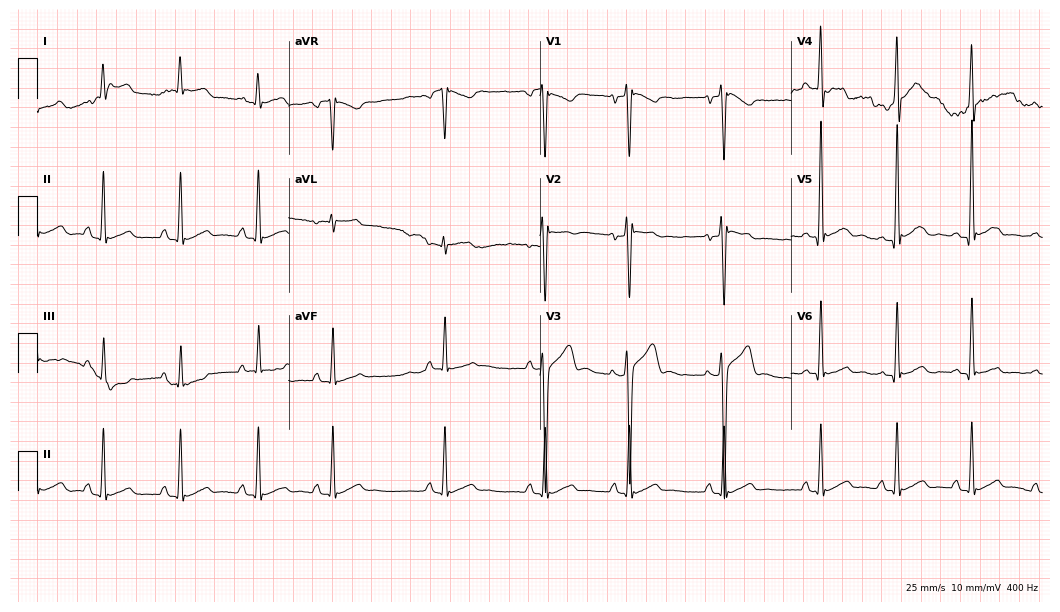
Standard 12-lead ECG recorded from a 19-year-old male patient. None of these six findings is recorded: first-degree AV block, right bundle branch block (RBBB), left bundle branch block (LBBB), sinus bradycardia, atrial fibrillation (AF), sinus tachycardia. Findings outside these six are not listed.